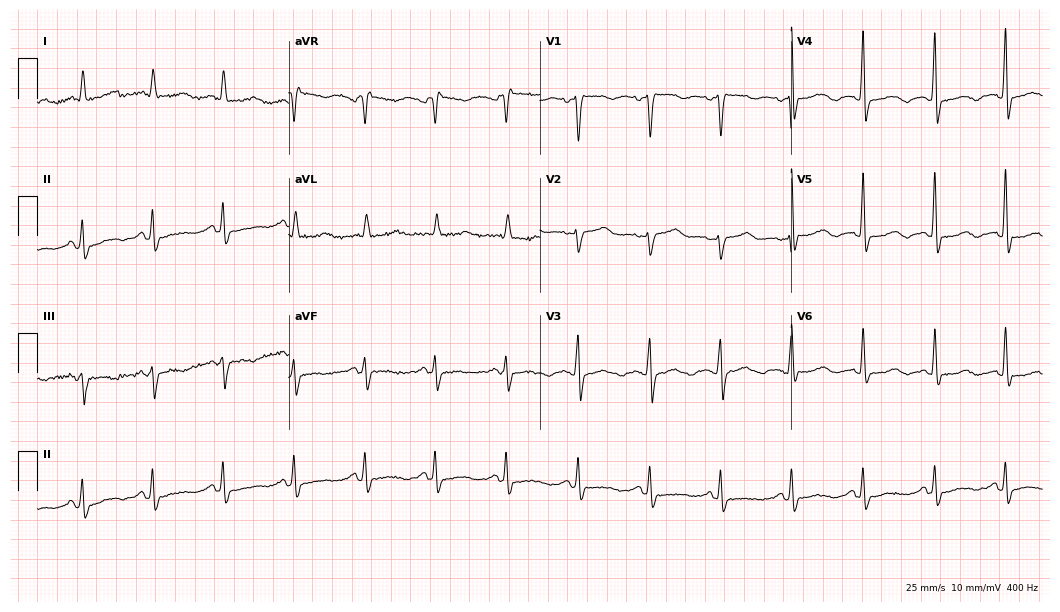
Electrocardiogram, a woman, 71 years old. Of the six screened findings (first-degree AV block, right bundle branch block (RBBB), left bundle branch block (LBBB), sinus bradycardia, atrial fibrillation (AF), sinus tachycardia), none is recorded. Other findings, if any, are not listed.